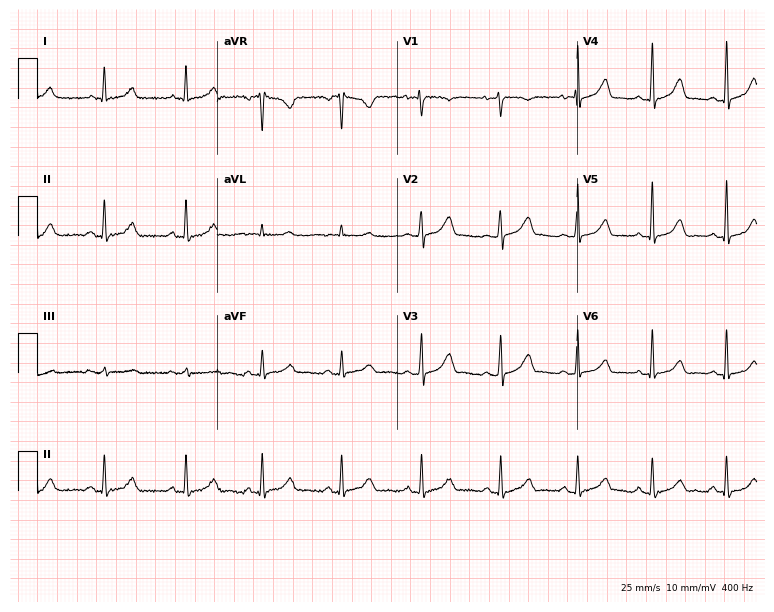
ECG — a 41-year-old female. Screened for six findings — first-degree AV block, right bundle branch block (RBBB), left bundle branch block (LBBB), sinus bradycardia, atrial fibrillation (AF), sinus tachycardia — none is recorded.